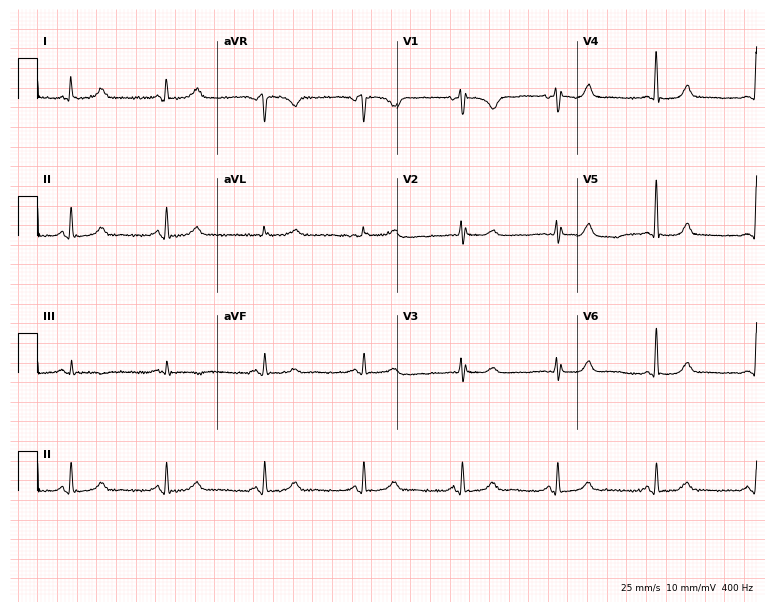
Standard 12-lead ECG recorded from a 55-year-old woman (7.3-second recording at 400 Hz). None of these six findings is recorded: first-degree AV block, right bundle branch block, left bundle branch block, sinus bradycardia, atrial fibrillation, sinus tachycardia.